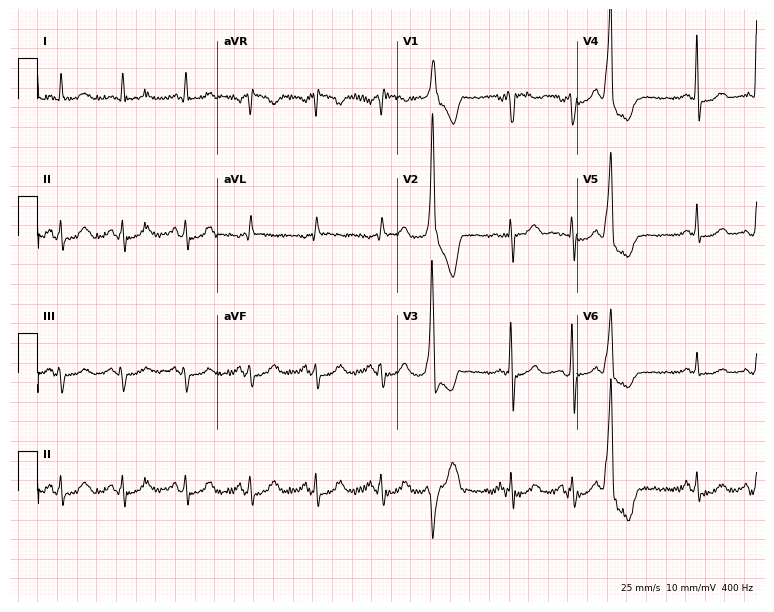
Standard 12-lead ECG recorded from a male patient, 57 years old. None of these six findings is recorded: first-degree AV block, right bundle branch block (RBBB), left bundle branch block (LBBB), sinus bradycardia, atrial fibrillation (AF), sinus tachycardia.